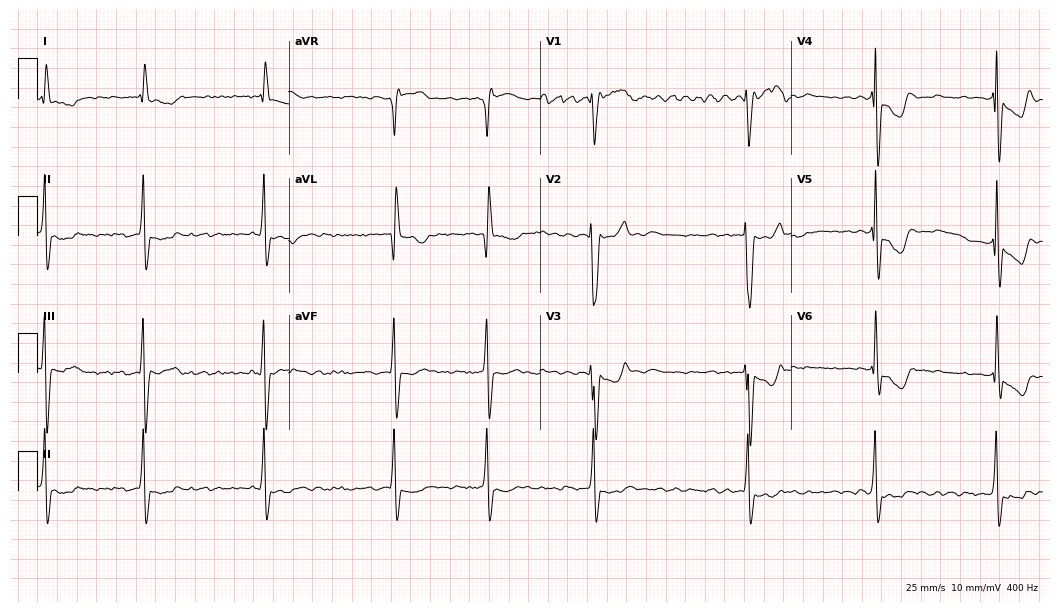
12-lead ECG from a 68-year-old woman. Shows left bundle branch block (LBBB), atrial fibrillation (AF).